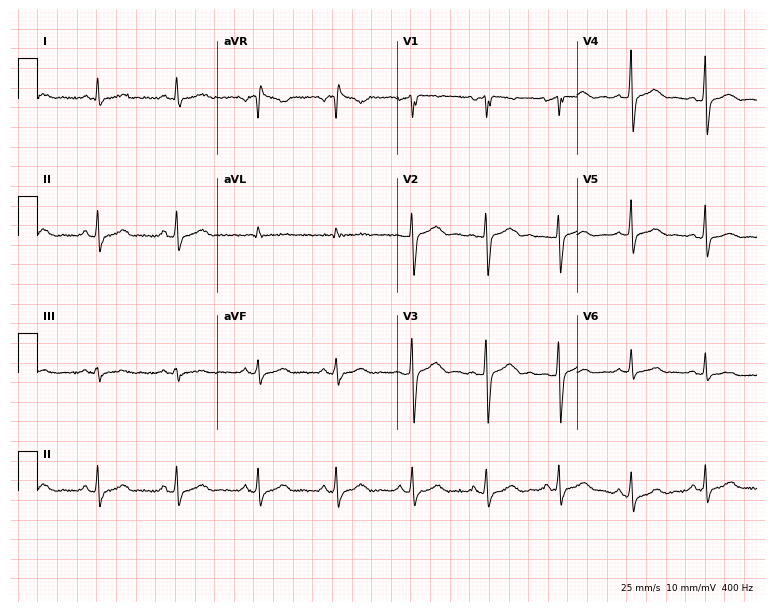
Resting 12-lead electrocardiogram (7.3-second recording at 400 Hz). Patient: a 28-year-old woman. Read as a normal ECG.